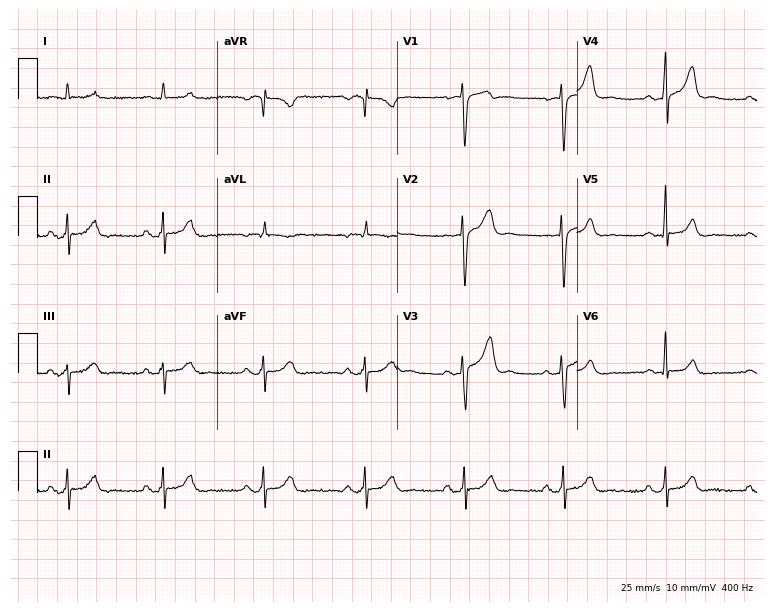
12-lead ECG from a 72-year-old male patient. Labelled as a normal ECG.